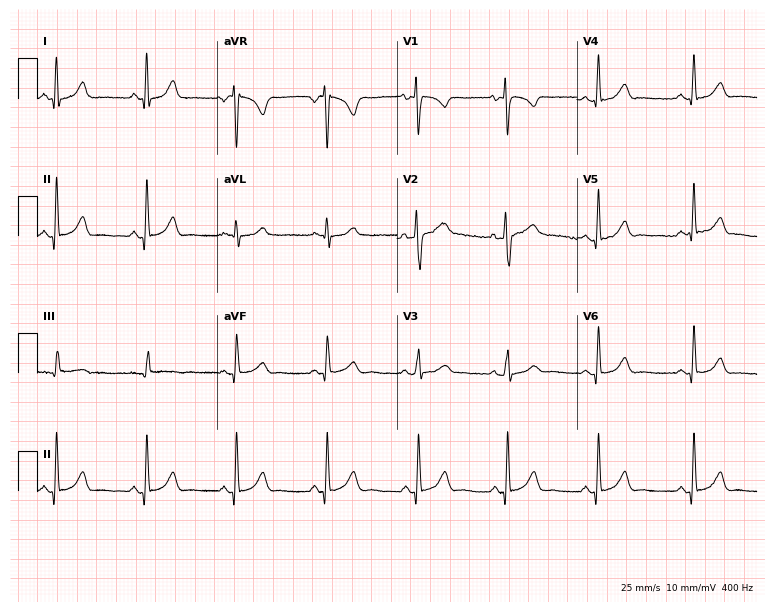
12-lead ECG from a woman, 32 years old (7.3-second recording at 400 Hz). No first-degree AV block, right bundle branch block, left bundle branch block, sinus bradycardia, atrial fibrillation or sinus tachycardia recorded for this tracing.